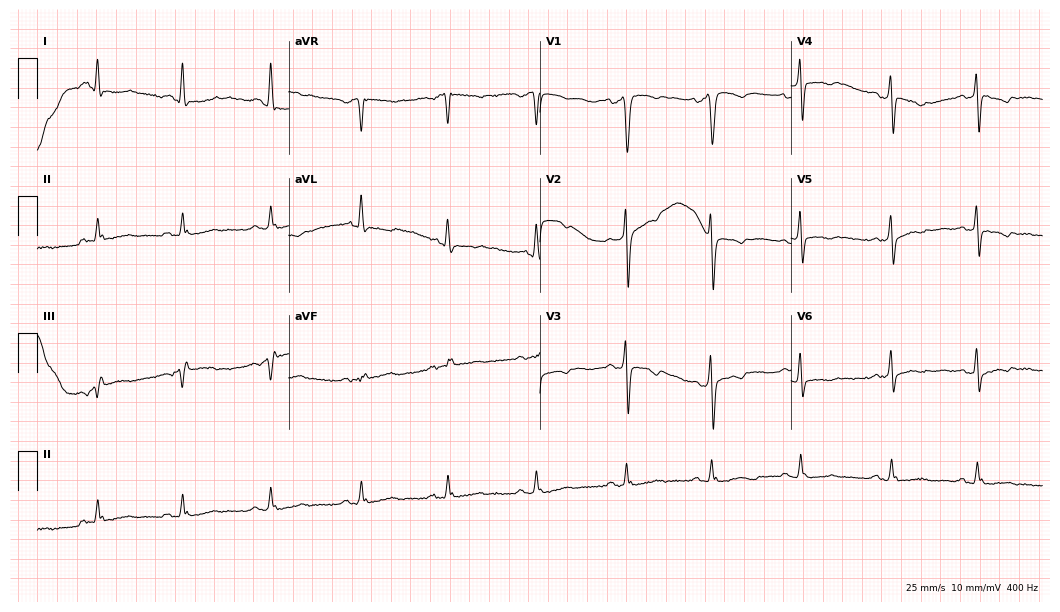
Standard 12-lead ECG recorded from a male, 47 years old. None of these six findings is recorded: first-degree AV block, right bundle branch block (RBBB), left bundle branch block (LBBB), sinus bradycardia, atrial fibrillation (AF), sinus tachycardia. Other findings, if any, are not listed.